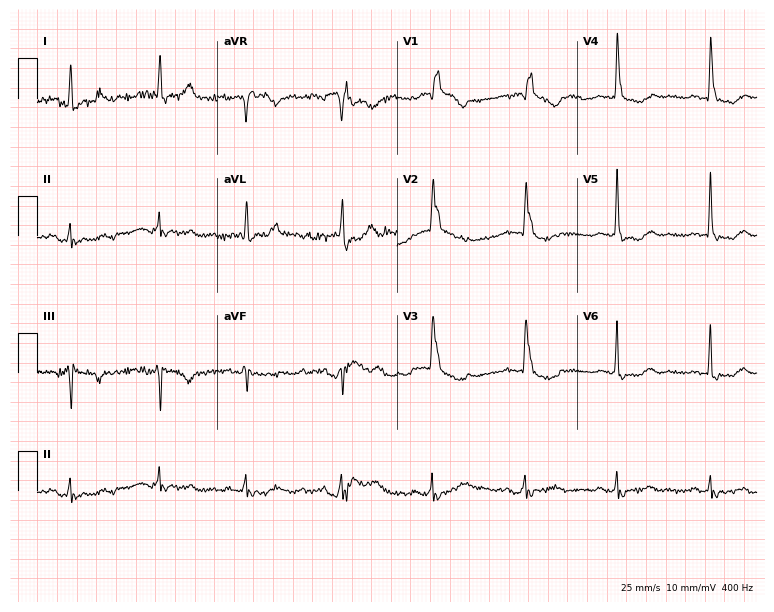
Electrocardiogram (7.3-second recording at 400 Hz), a female patient, 79 years old. Of the six screened findings (first-degree AV block, right bundle branch block (RBBB), left bundle branch block (LBBB), sinus bradycardia, atrial fibrillation (AF), sinus tachycardia), none is recorded. Other findings, if any, are not listed.